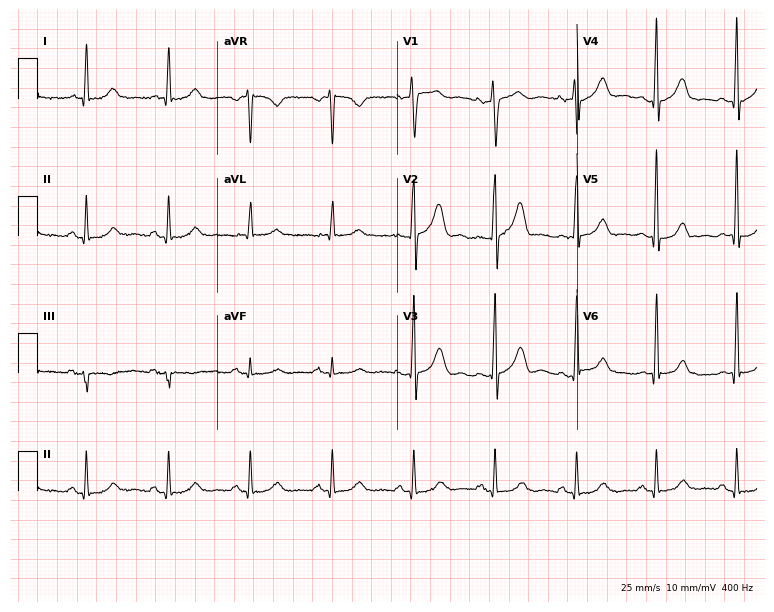
12-lead ECG (7.3-second recording at 400 Hz) from a 58-year-old male patient. Labelled as a normal ECG.